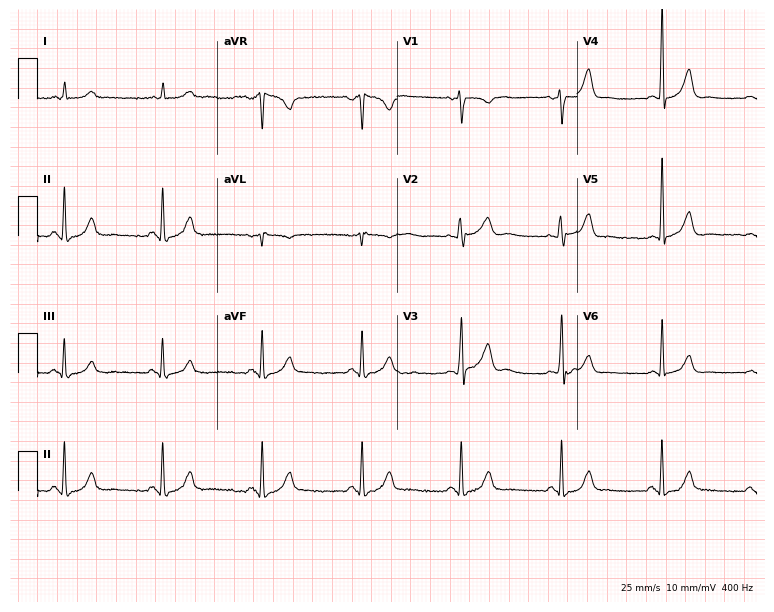
ECG — a male, 64 years old. Labelled as a normal ECG.